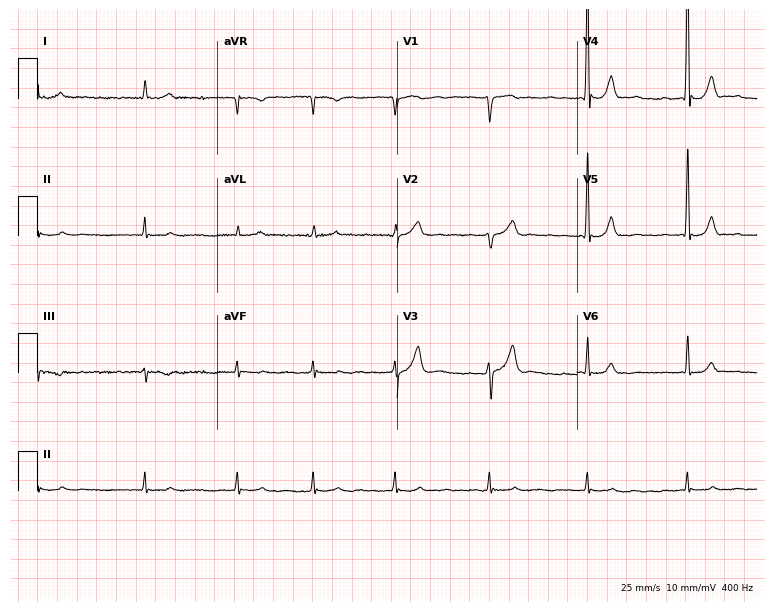
Electrocardiogram, a man, 85 years old. Interpretation includes atrial fibrillation.